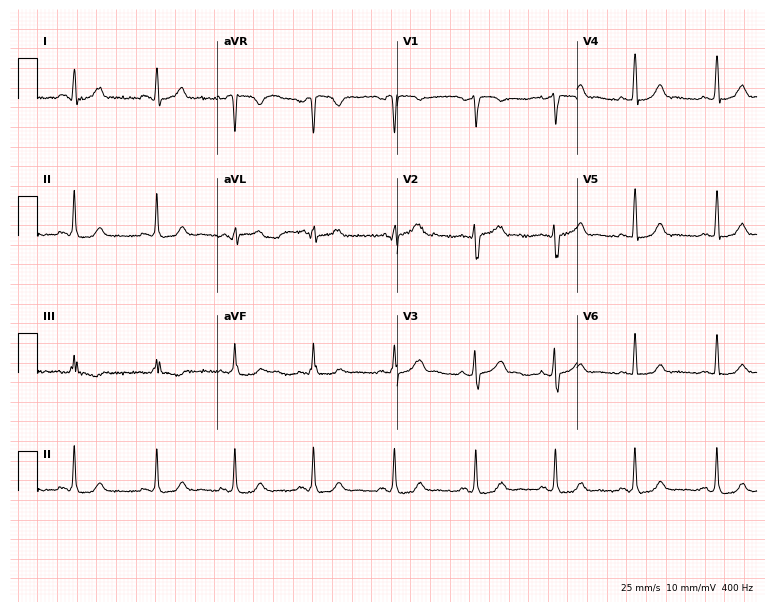
Electrocardiogram (7.3-second recording at 400 Hz), a 38-year-old female patient. Of the six screened findings (first-degree AV block, right bundle branch block (RBBB), left bundle branch block (LBBB), sinus bradycardia, atrial fibrillation (AF), sinus tachycardia), none is recorded.